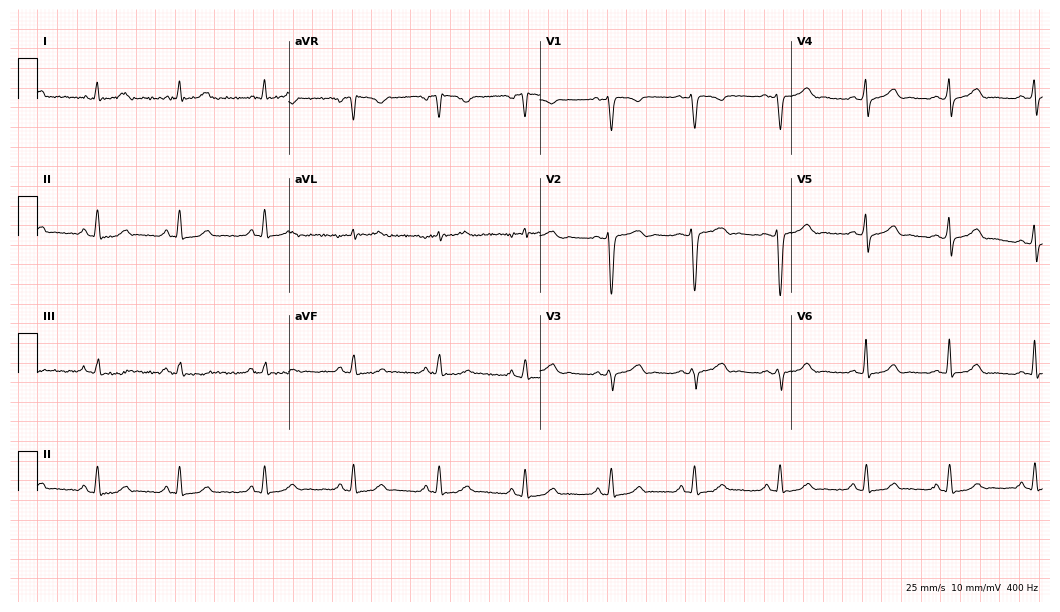
12-lead ECG from a female, 30 years old (10.2-second recording at 400 Hz). Recorded interpretation: within normal limits.